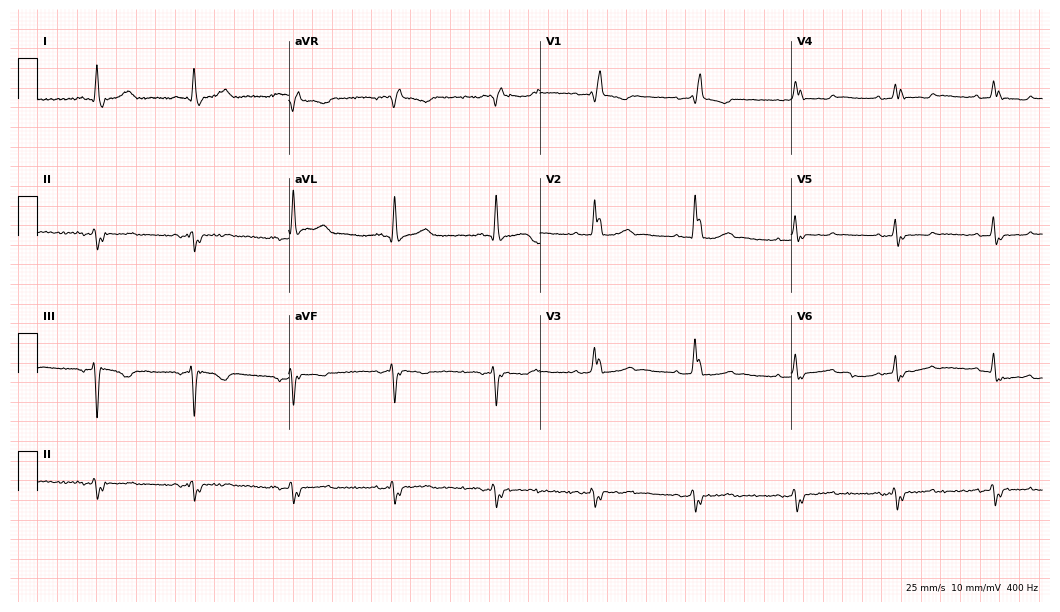
Electrocardiogram, a female patient, 81 years old. Of the six screened findings (first-degree AV block, right bundle branch block (RBBB), left bundle branch block (LBBB), sinus bradycardia, atrial fibrillation (AF), sinus tachycardia), none is recorded.